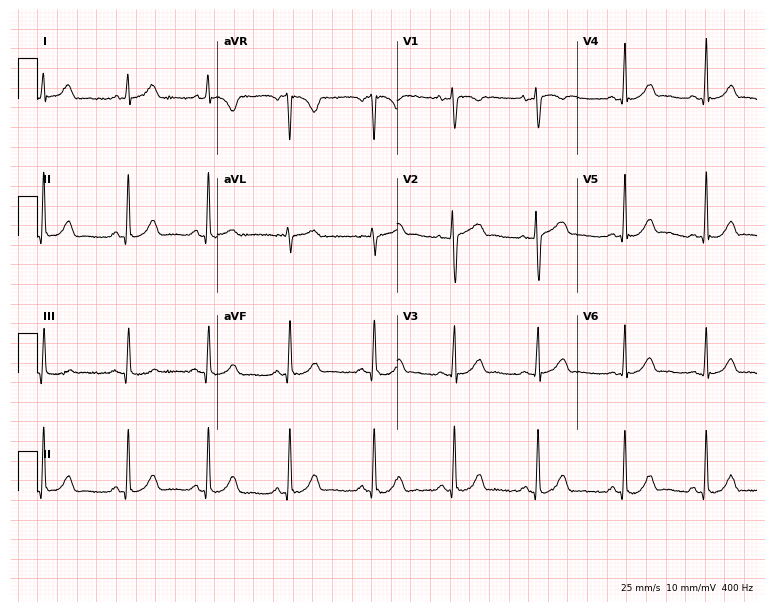
12-lead ECG (7.3-second recording at 400 Hz) from a female, 24 years old. Labelled as a normal ECG.